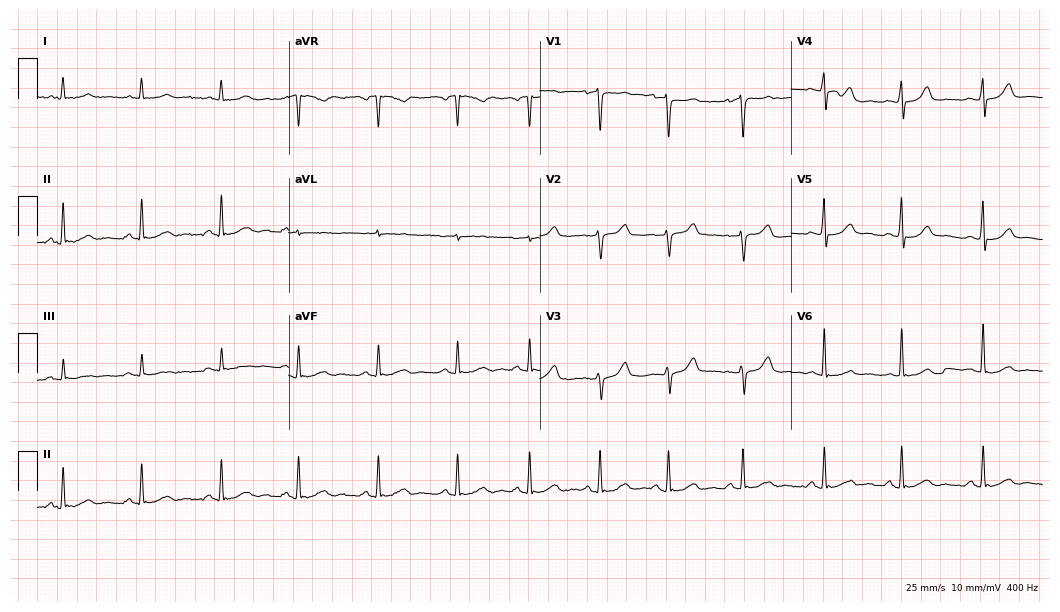
12-lead ECG from a female, 21 years old (10.2-second recording at 400 Hz). Recorded interpretation: within normal limits.